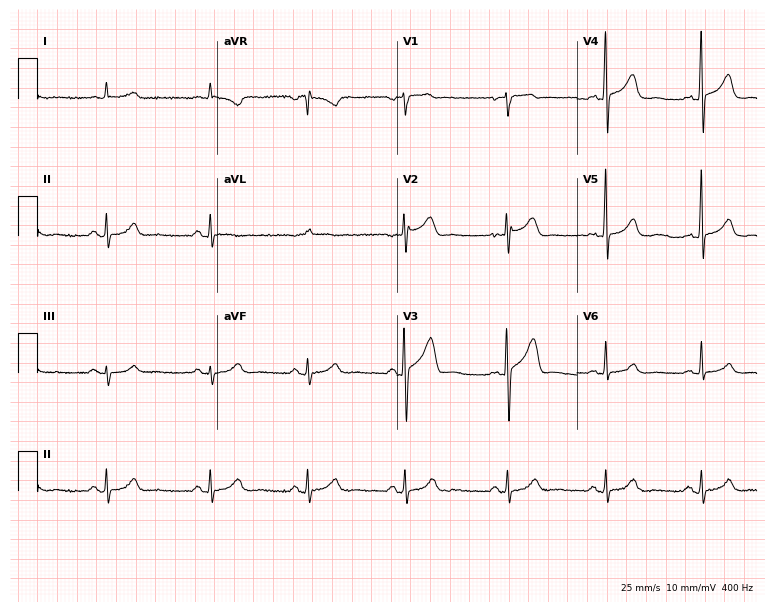
12-lead ECG from an 83-year-old man. No first-degree AV block, right bundle branch block, left bundle branch block, sinus bradycardia, atrial fibrillation or sinus tachycardia recorded for this tracing. Findings outside these six are not listed.